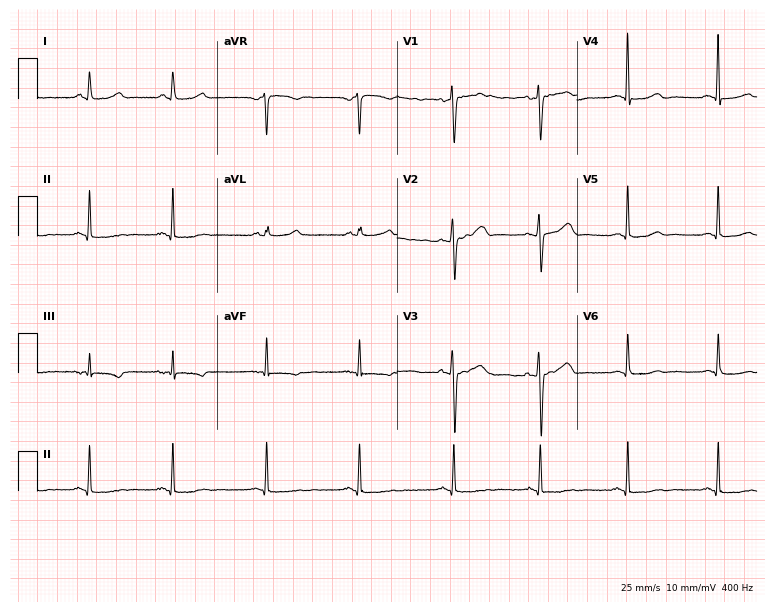
Resting 12-lead electrocardiogram. Patient: a 53-year-old woman. None of these six findings is recorded: first-degree AV block, right bundle branch block (RBBB), left bundle branch block (LBBB), sinus bradycardia, atrial fibrillation (AF), sinus tachycardia. Only these six findings were labelled.